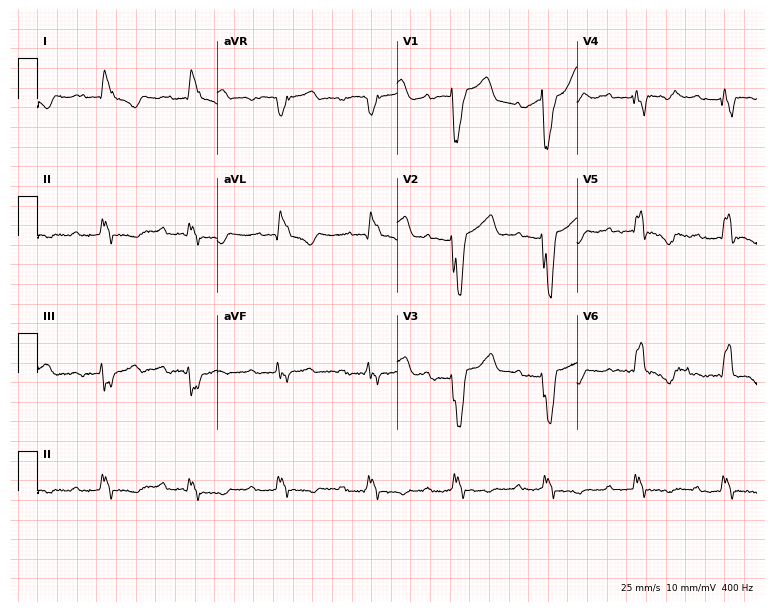
Electrocardiogram (7.3-second recording at 400 Hz), a man, 86 years old. Interpretation includes first-degree AV block, left bundle branch block.